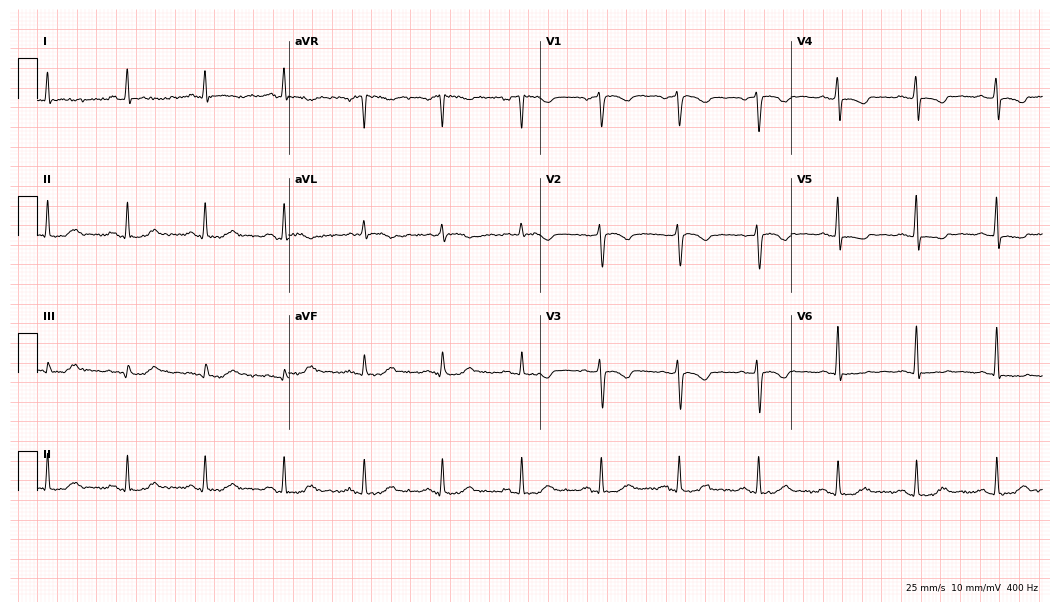
12-lead ECG (10.2-second recording at 400 Hz) from a woman, 66 years old. Screened for six findings — first-degree AV block, right bundle branch block (RBBB), left bundle branch block (LBBB), sinus bradycardia, atrial fibrillation (AF), sinus tachycardia — none is recorded. Only these six findings were labelled.